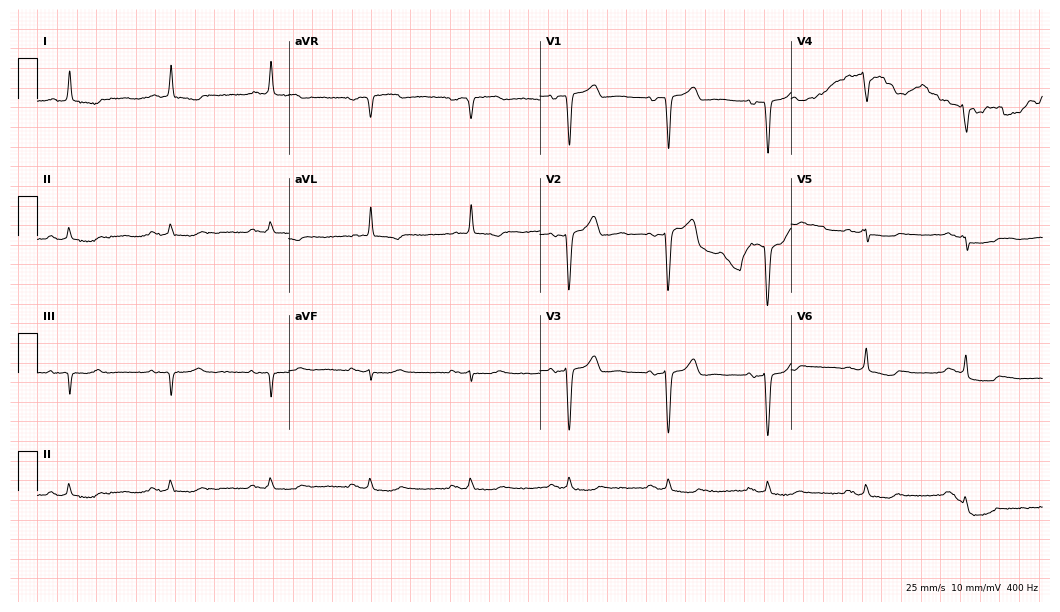
Standard 12-lead ECG recorded from an 87-year-old man. None of these six findings is recorded: first-degree AV block, right bundle branch block, left bundle branch block, sinus bradycardia, atrial fibrillation, sinus tachycardia.